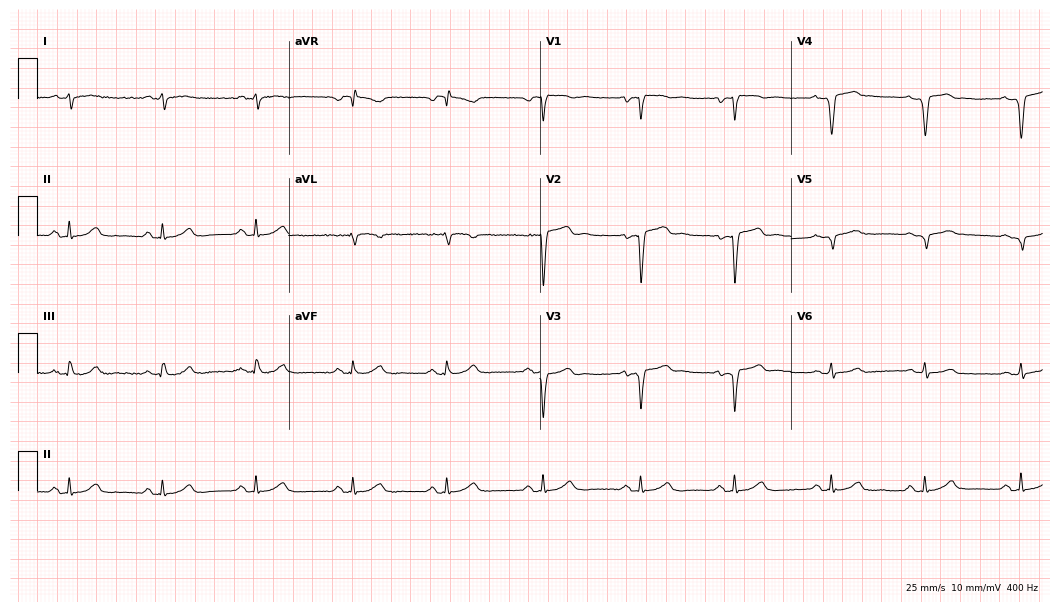
ECG (10.2-second recording at 400 Hz) — a male patient, 41 years old. Labelled as a normal ECG.